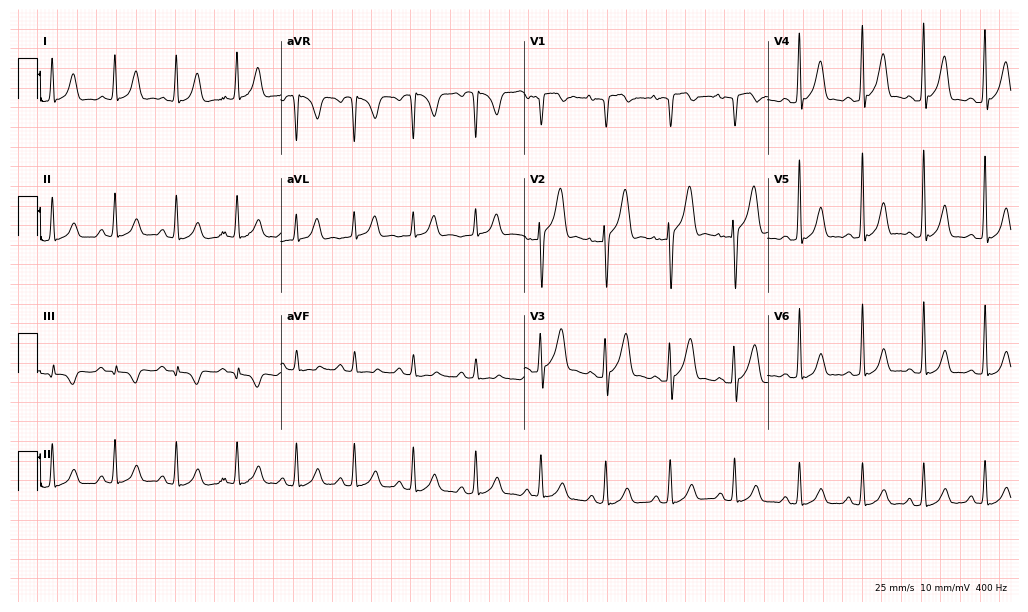
Resting 12-lead electrocardiogram. Patient: a man, 24 years old. Read as a normal ECG.